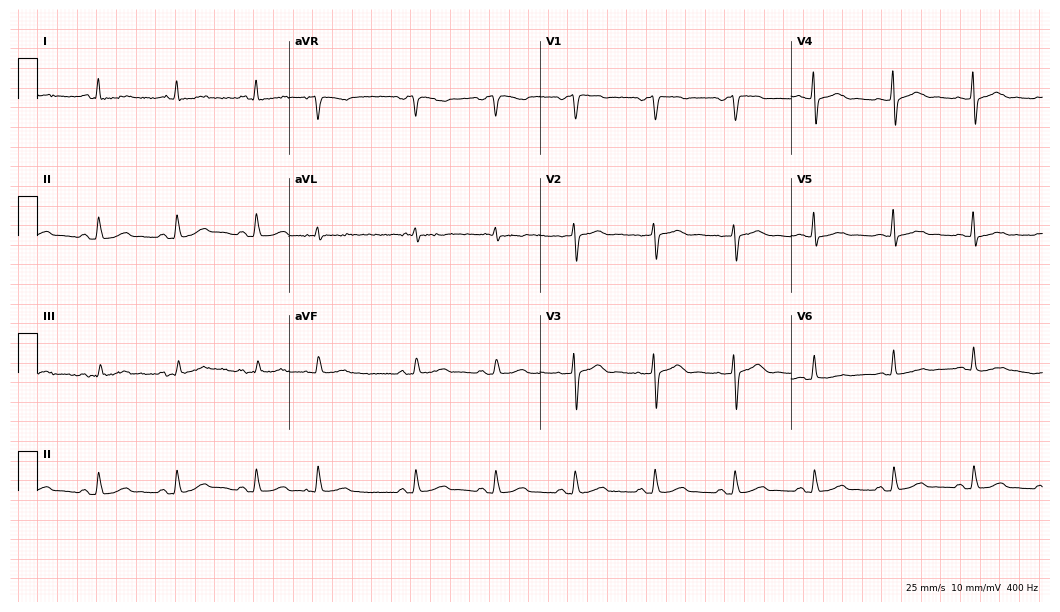
12-lead ECG from a 78-year-old woman (10.2-second recording at 400 Hz). Recorded interpretation: within normal limits.